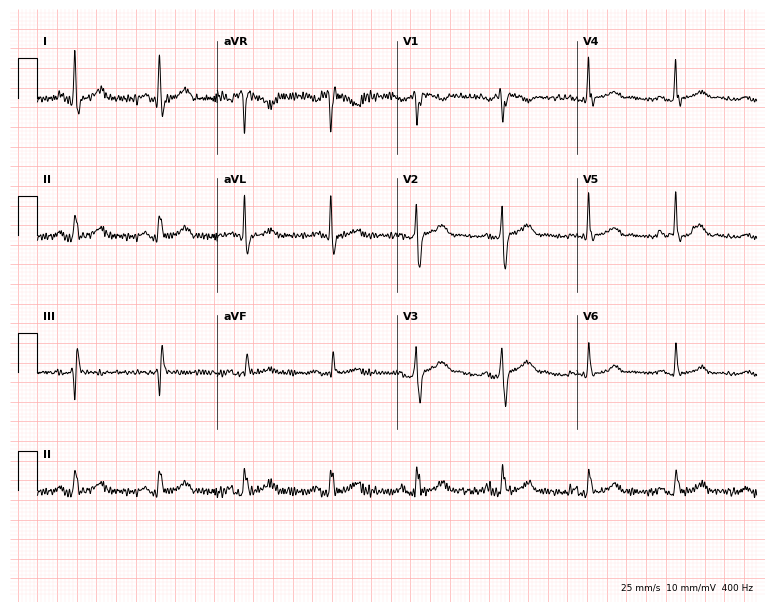
12-lead ECG from a 37-year-old male patient. Screened for six findings — first-degree AV block, right bundle branch block (RBBB), left bundle branch block (LBBB), sinus bradycardia, atrial fibrillation (AF), sinus tachycardia — none is recorded.